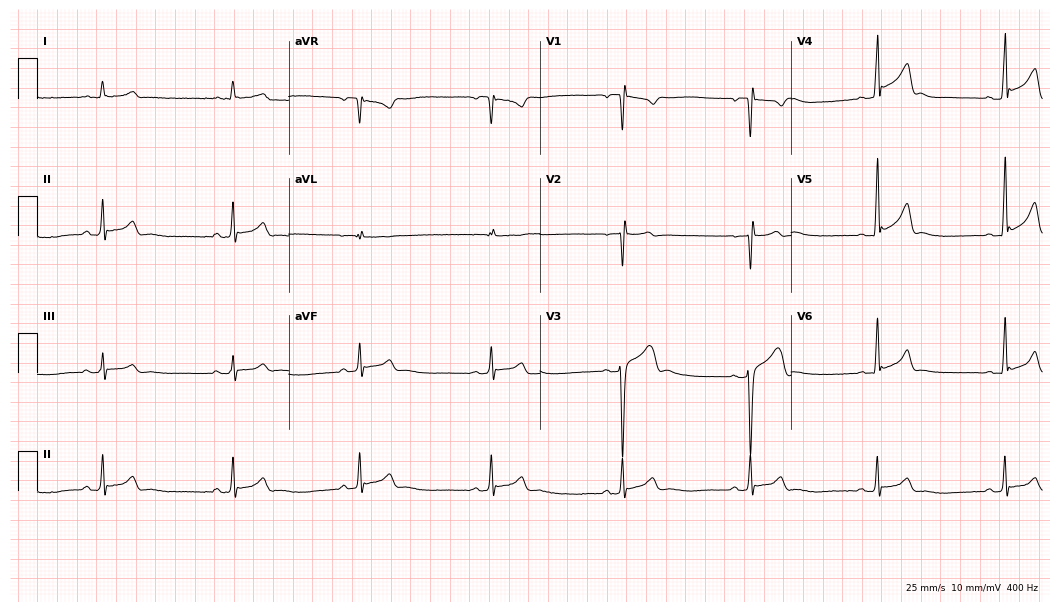
Resting 12-lead electrocardiogram. Patient: a 20-year-old male. The tracing shows sinus bradycardia (a sinus rate of 50 beats per minute or less).